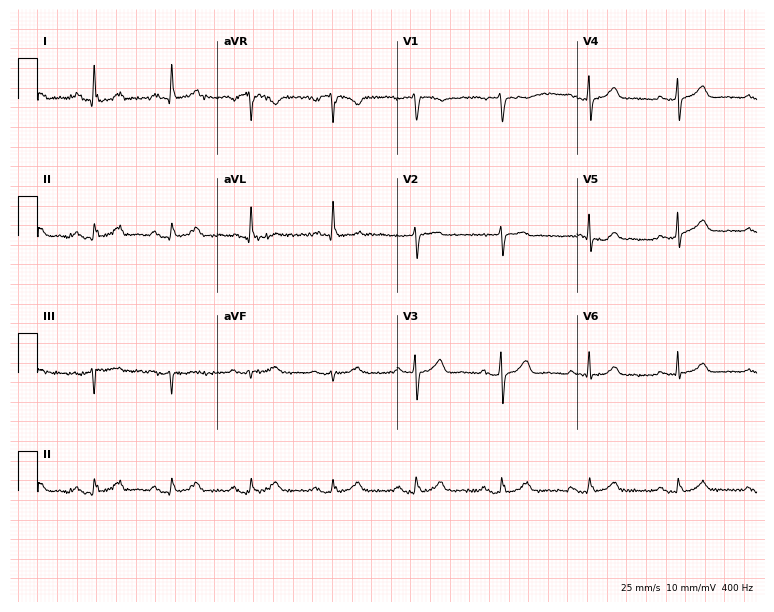
ECG (7.3-second recording at 400 Hz) — a female patient, 62 years old. Labelled as a normal ECG.